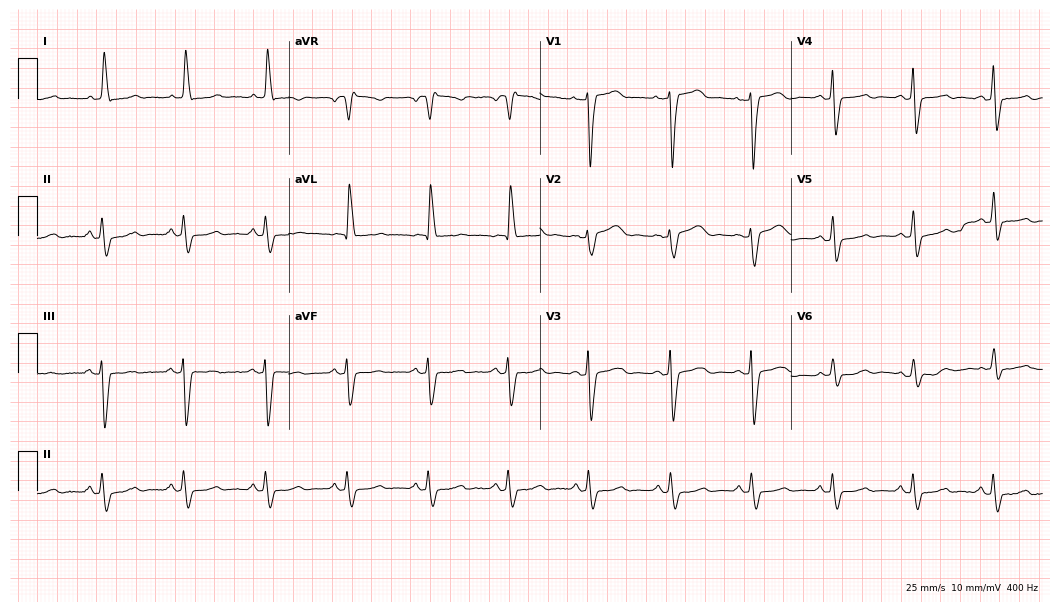
Standard 12-lead ECG recorded from a female patient, 79 years old (10.2-second recording at 400 Hz). None of these six findings is recorded: first-degree AV block, right bundle branch block, left bundle branch block, sinus bradycardia, atrial fibrillation, sinus tachycardia. Other findings, if any, are not listed.